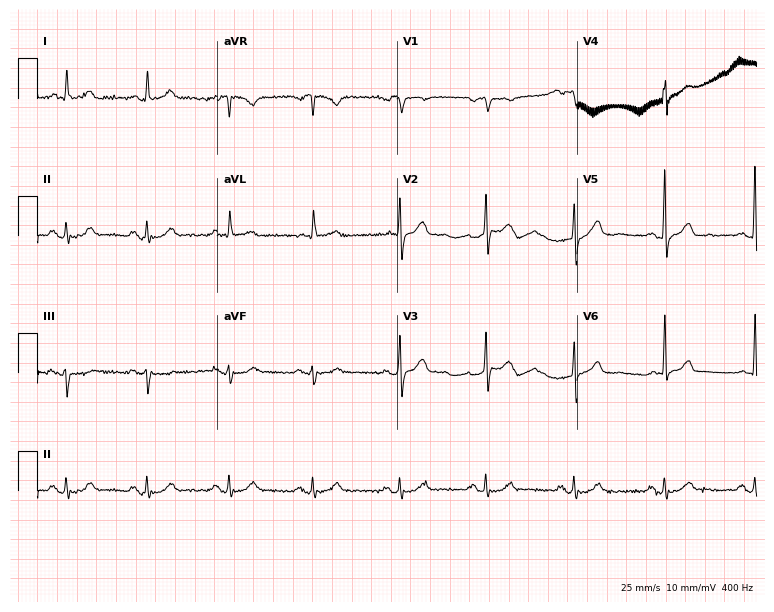
Electrocardiogram, a 63-year-old man. Of the six screened findings (first-degree AV block, right bundle branch block, left bundle branch block, sinus bradycardia, atrial fibrillation, sinus tachycardia), none is recorded.